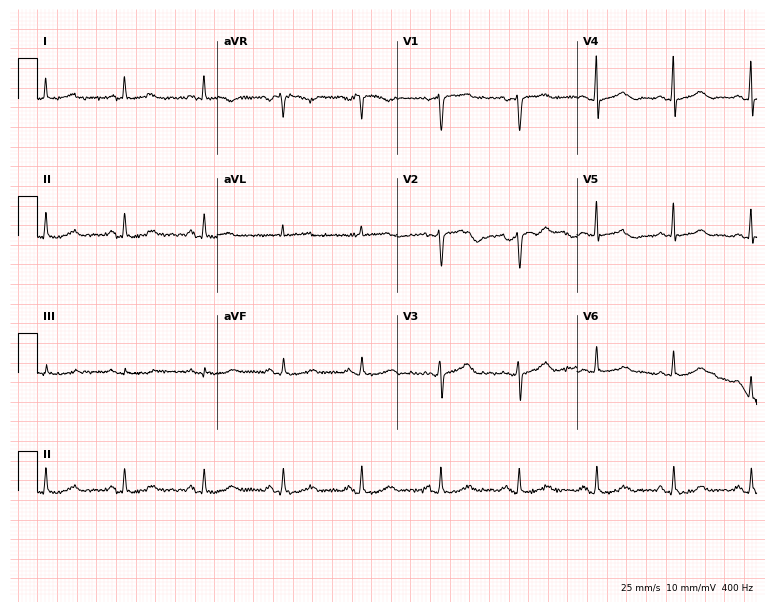
12-lead ECG from a 67-year-old female (7.3-second recording at 400 Hz). No first-degree AV block, right bundle branch block (RBBB), left bundle branch block (LBBB), sinus bradycardia, atrial fibrillation (AF) or sinus tachycardia recorded for this tracing. Findings outside these six are not listed.